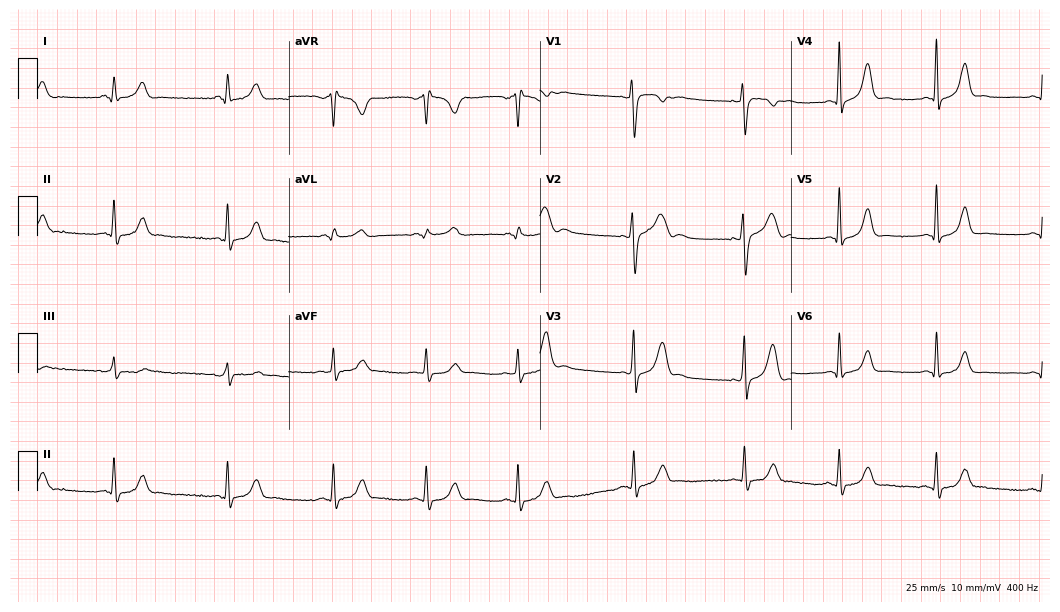
Standard 12-lead ECG recorded from a woman, 30 years old (10.2-second recording at 400 Hz). Read as a normal ECG.